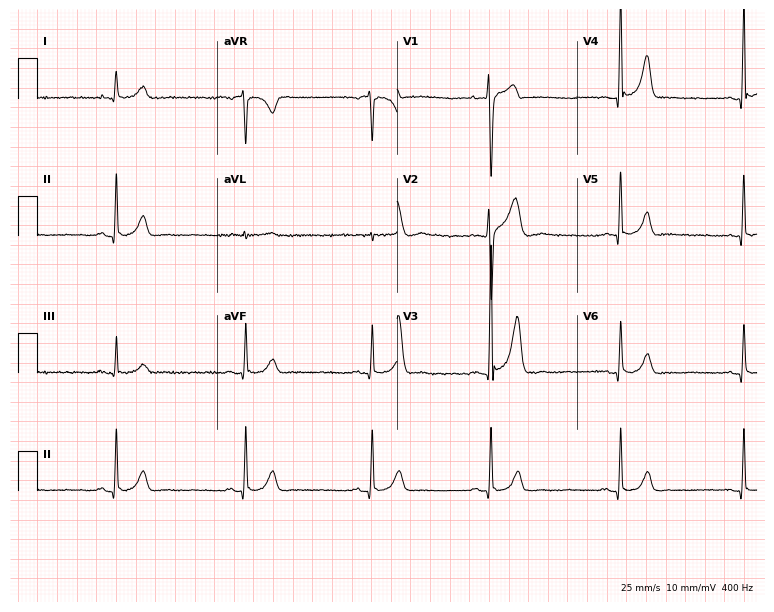
12-lead ECG from a man, 21 years old. Shows sinus bradycardia (a sinus rate of 50 beats per minute or less).